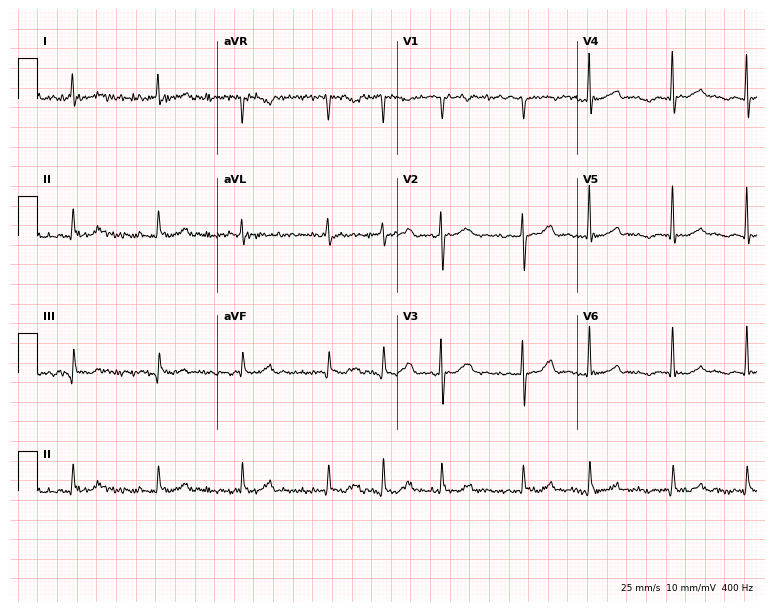
Standard 12-lead ECG recorded from a man, 66 years old (7.3-second recording at 400 Hz). The tracing shows atrial fibrillation (AF).